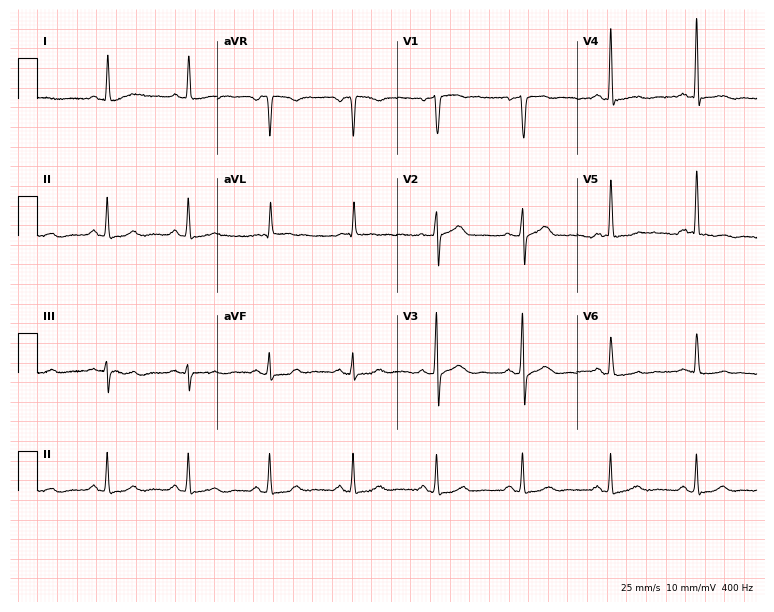
Standard 12-lead ECG recorded from a male patient, 74 years old (7.3-second recording at 400 Hz). Read as a normal ECG.